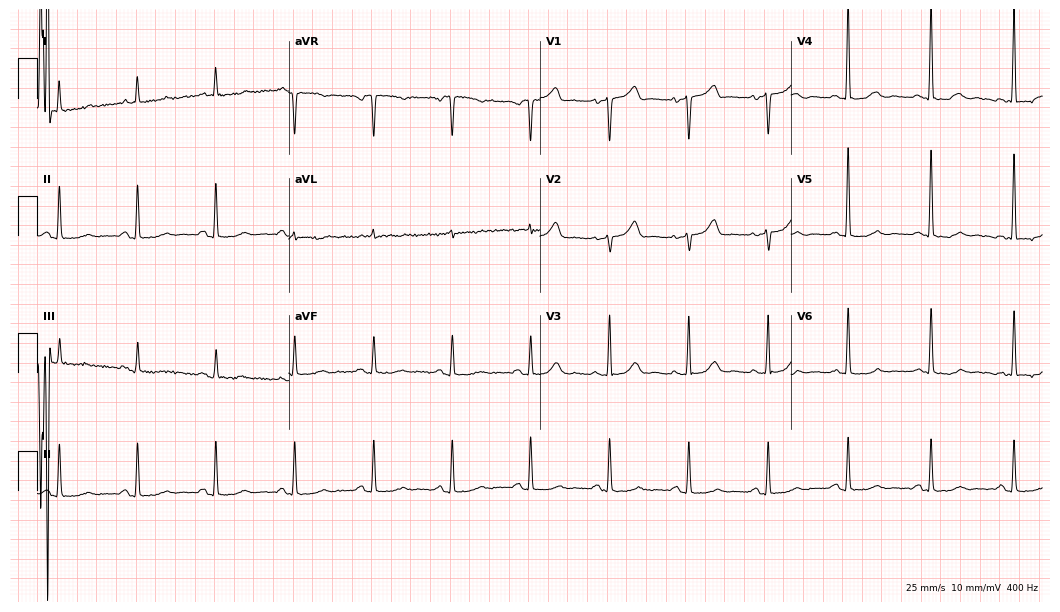
ECG (10.2-second recording at 400 Hz) — a female, 72 years old. Screened for six findings — first-degree AV block, right bundle branch block, left bundle branch block, sinus bradycardia, atrial fibrillation, sinus tachycardia — none is recorded.